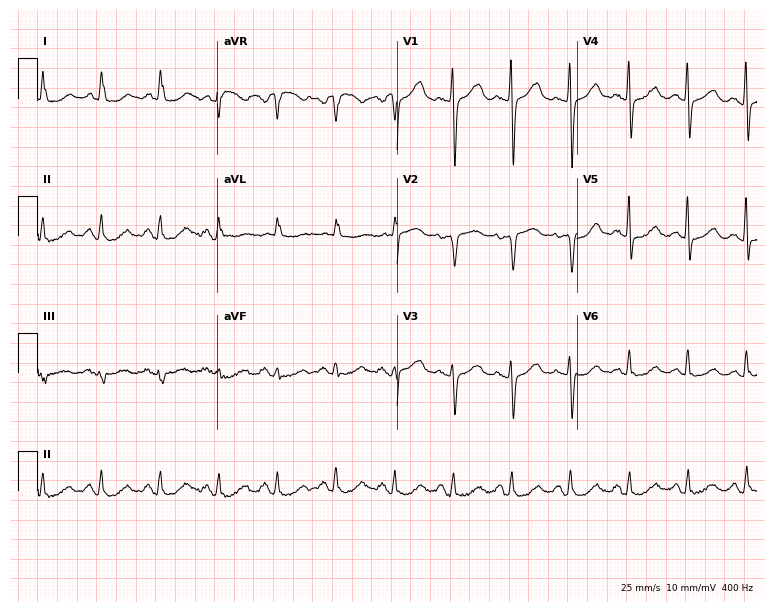
ECG — a 68-year-old woman. Findings include sinus tachycardia (a sinus rate of 100 beats per minute or more).